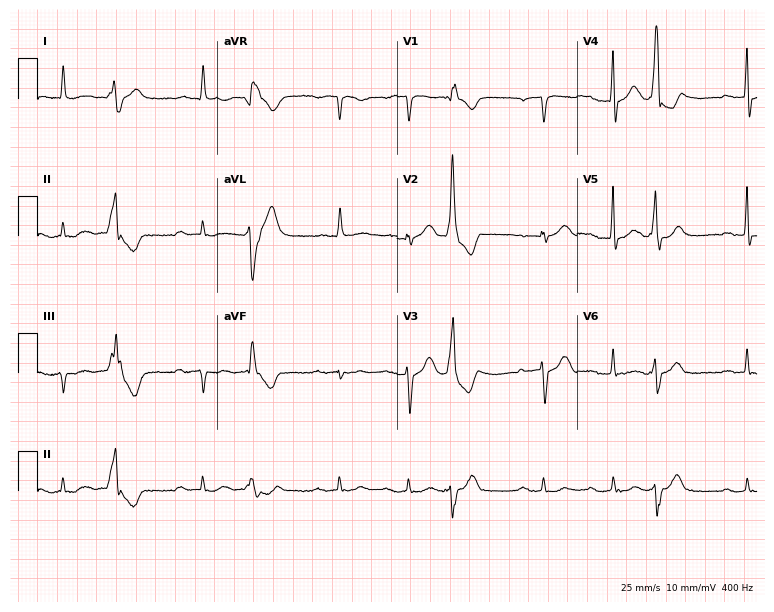
Resting 12-lead electrocardiogram. Patient: an 86-year-old male. The tracing shows first-degree AV block.